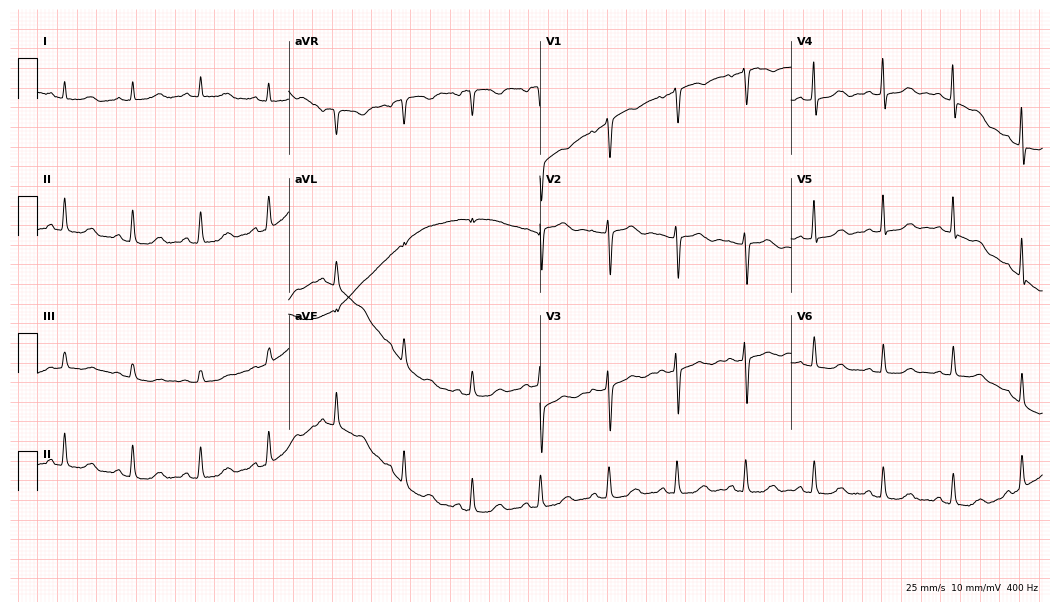
Electrocardiogram (10.2-second recording at 400 Hz), a female, 69 years old. Of the six screened findings (first-degree AV block, right bundle branch block (RBBB), left bundle branch block (LBBB), sinus bradycardia, atrial fibrillation (AF), sinus tachycardia), none is recorded.